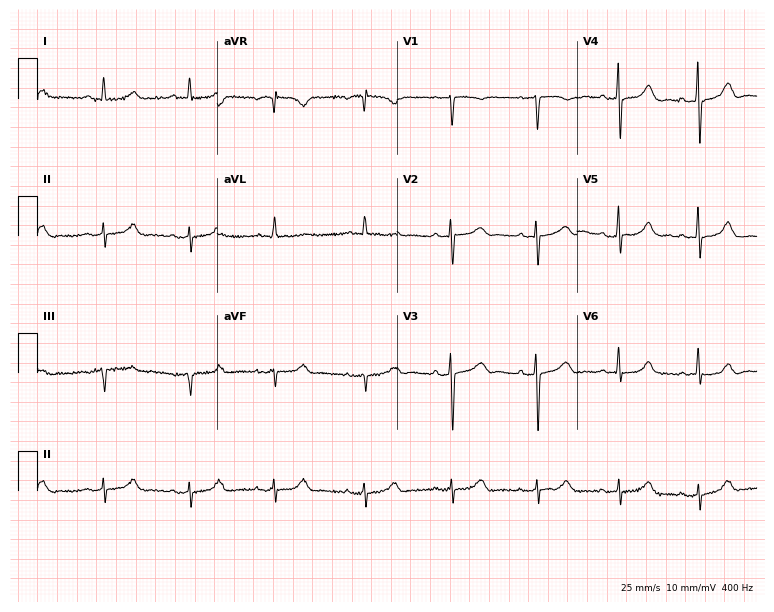
Resting 12-lead electrocardiogram. Patient: a 62-year-old female. None of these six findings is recorded: first-degree AV block, right bundle branch block, left bundle branch block, sinus bradycardia, atrial fibrillation, sinus tachycardia. Only these six findings were labelled.